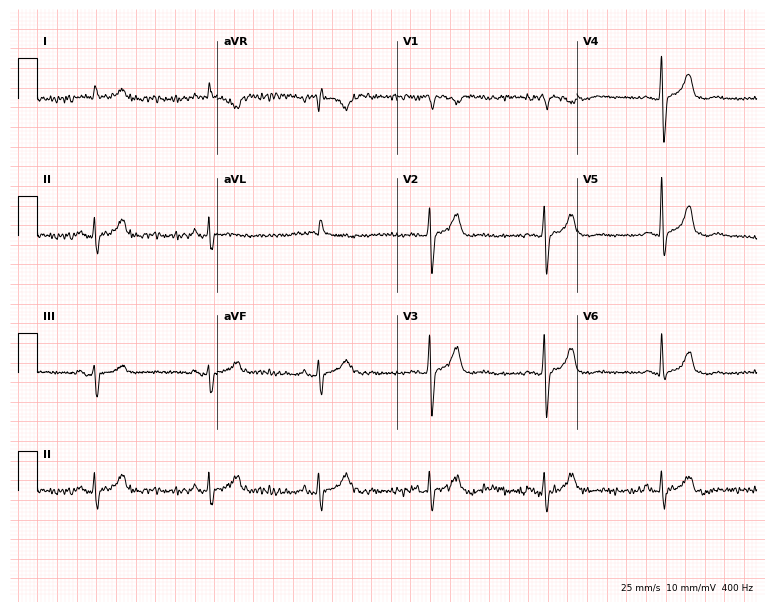
ECG (7.3-second recording at 400 Hz) — a 69-year-old male. Screened for six findings — first-degree AV block, right bundle branch block (RBBB), left bundle branch block (LBBB), sinus bradycardia, atrial fibrillation (AF), sinus tachycardia — none is recorded. Findings outside these six are not listed.